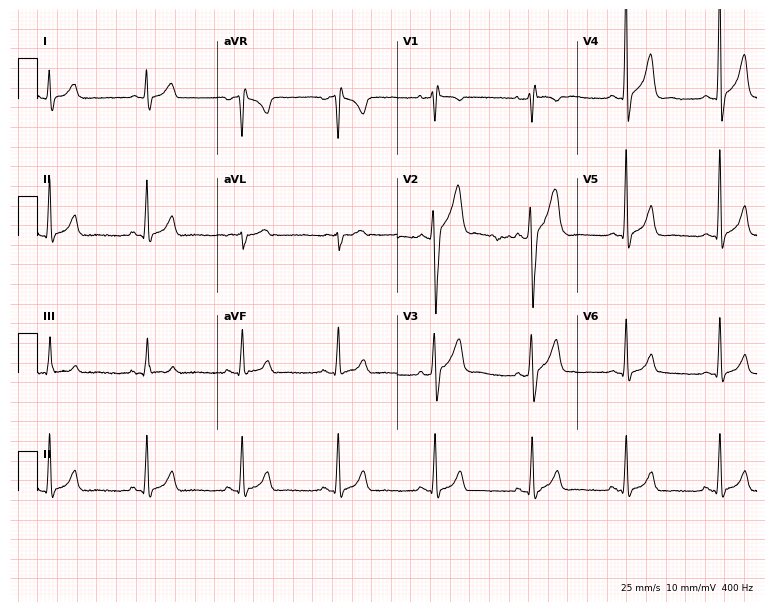
Electrocardiogram (7.3-second recording at 400 Hz), a male patient, 32 years old. Of the six screened findings (first-degree AV block, right bundle branch block (RBBB), left bundle branch block (LBBB), sinus bradycardia, atrial fibrillation (AF), sinus tachycardia), none is recorded. Other findings, if any, are not listed.